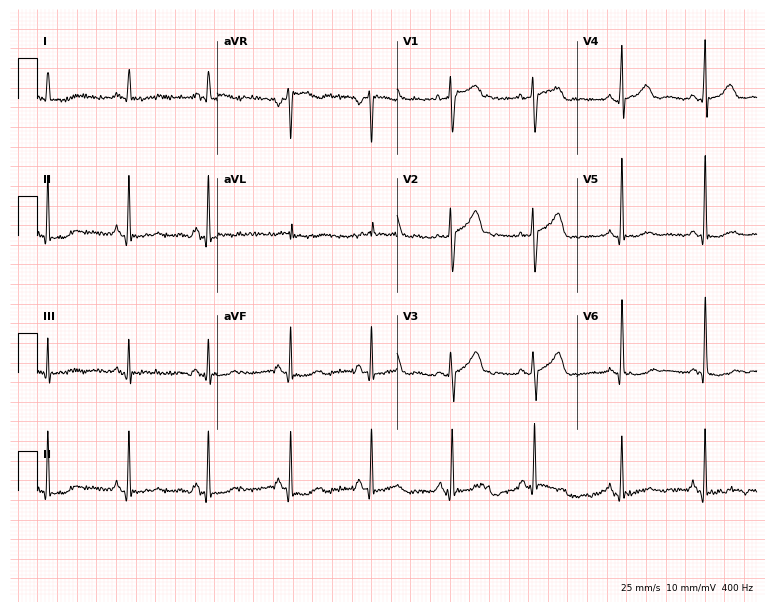
12-lead ECG from a 56-year-old female patient (7.3-second recording at 400 Hz). No first-degree AV block, right bundle branch block, left bundle branch block, sinus bradycardia, atrial fibrillation or sinus tachycardia recorded for this tracing.